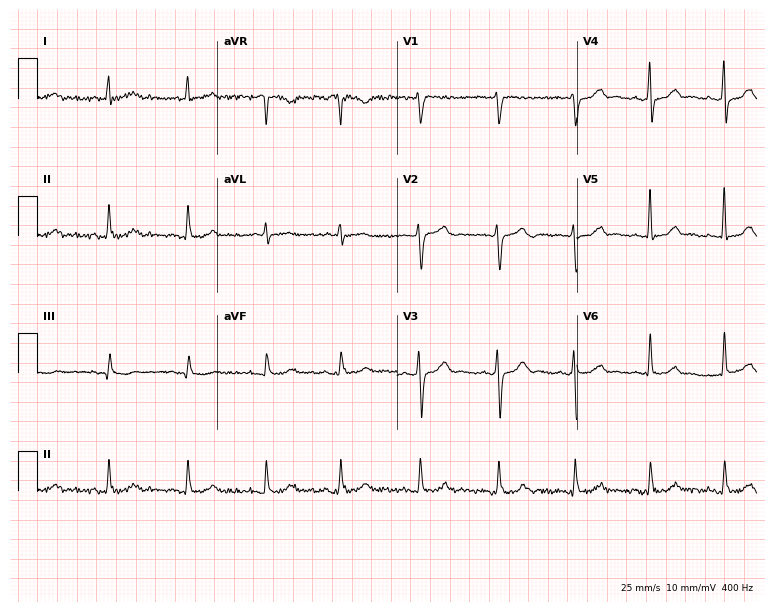
Standard 12-lead ECG recorded from a male, 62 years old (7.3-second recording at 400 Hz). Read as a normal ECG.